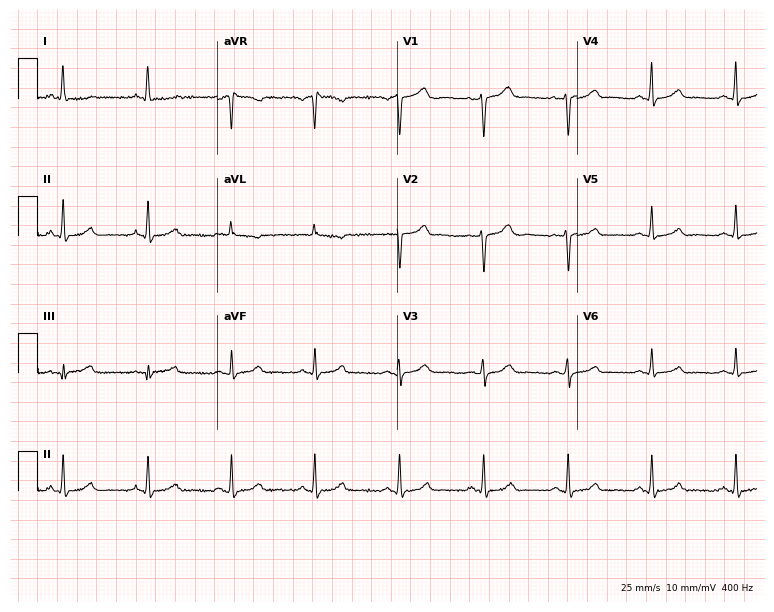
12-lead ECG from a female, 56 years old. Labelled as a normal ECG.